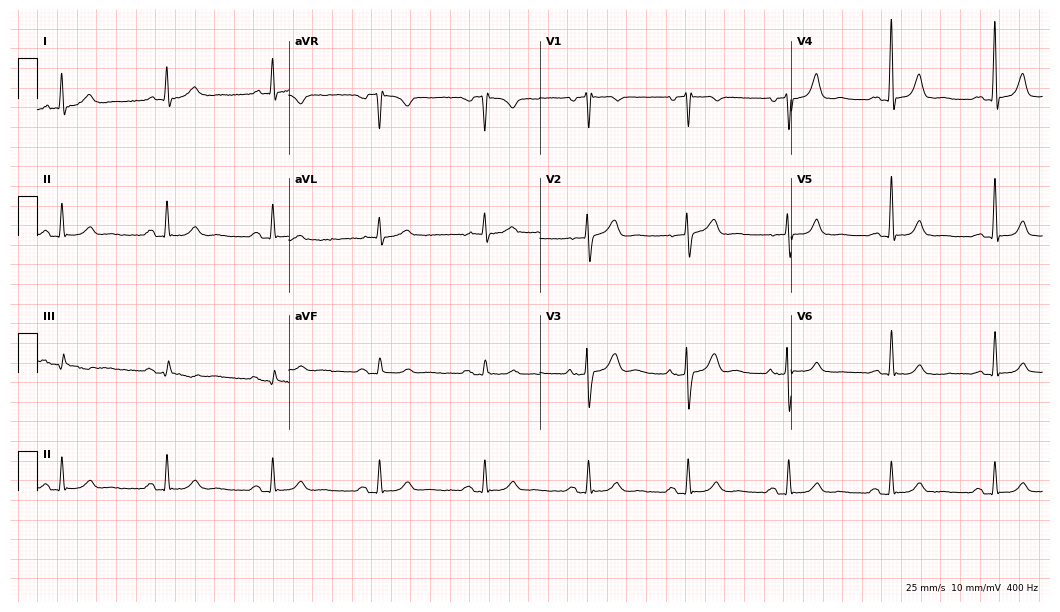
Standard 12-lead ECG recorded from a 64-year-old male patient. Read as a normal ECG.